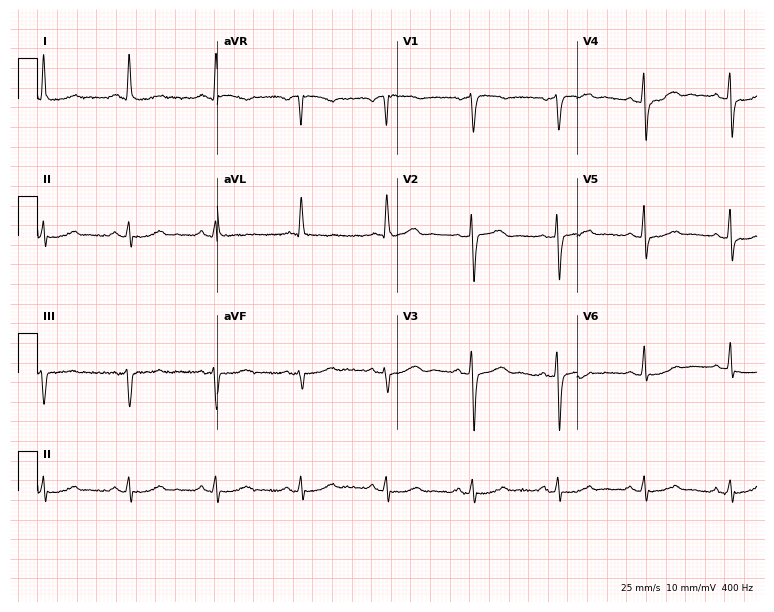
Standard 12-lead ECG recorded from a woman, 61 years old (7.3-second recording at 400 Hz). Read as a normal ECG.